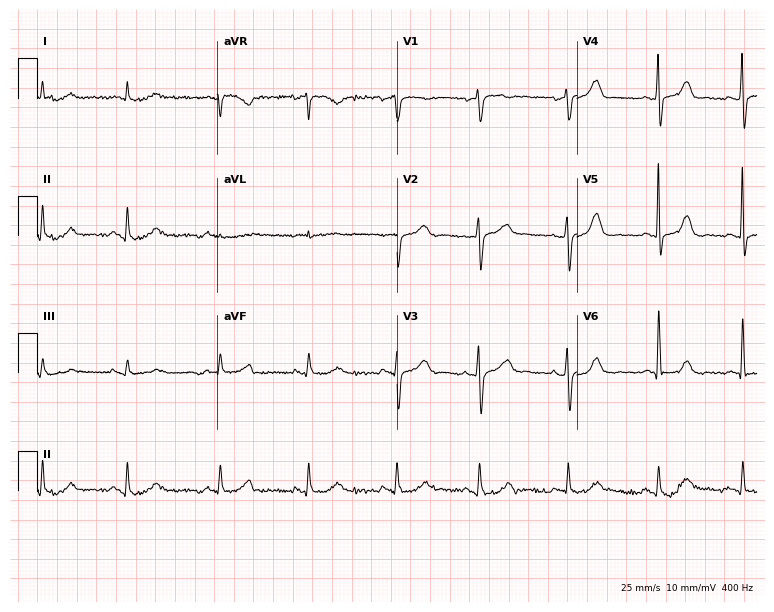
Electrocardiogram (7.3-second recording at 400 Hz), a man, 81 years old. Overall reading on record: normal ECG.